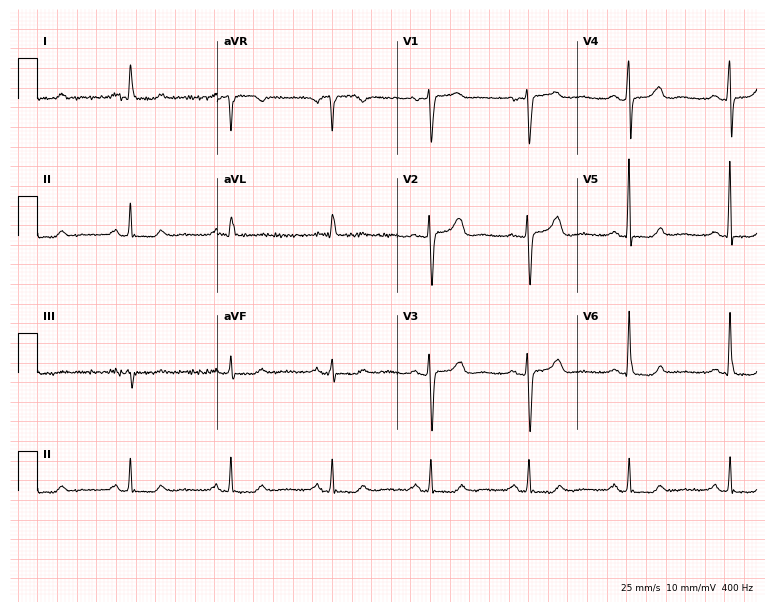
Electrocardiogram (7.3-second recording at 400 Hz), a woman, 64 years old. Of the six screened findings (first-degree AV block, right bundle branch block, left bundle branch block, sinus bradycardia, atrial fibrillation, sinus tachycardia), none is recorded. Only these six findings were labelled.